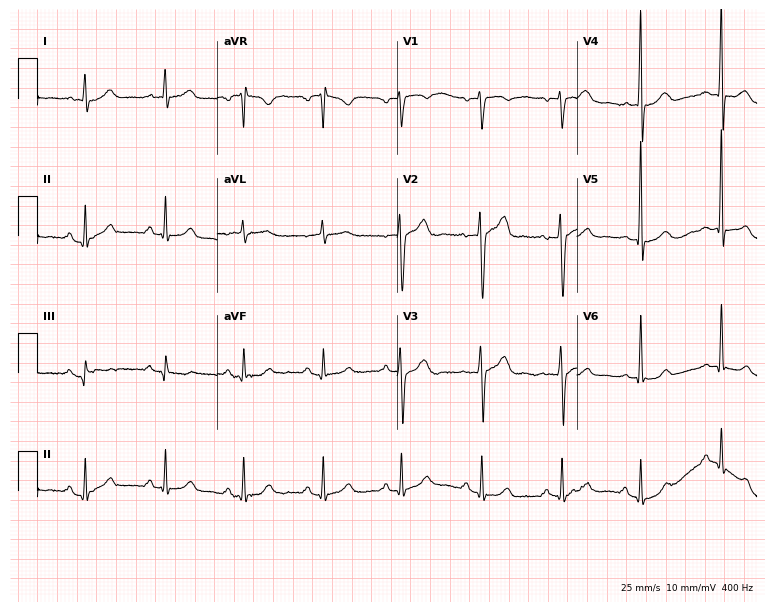
Electrocardiogram (7.3-second recording at 400 Hz), a 35-year-old man. Of the six screened findings (first-degree AV block, right bundle branch block (RBBB), left bundle branch block (LBBB), sinus bradycardia, atrial fibrillation (AF), sinus tachycardia), none is recorded. Findings outside these six are not listed.